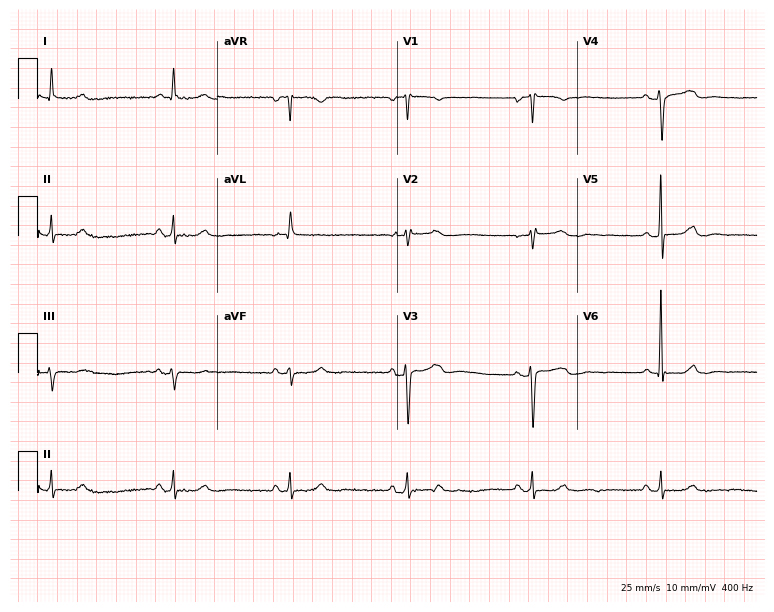
Standard 12-lead ECG recorded from a 76-year-old woman (7.3-second recording at 400 Hz). None of these six findings is recorded: first-degree AV block, right bundle branch block, left bundle branch block, sinus bradycardia, atrial fibrillation, sinus tachycardia.